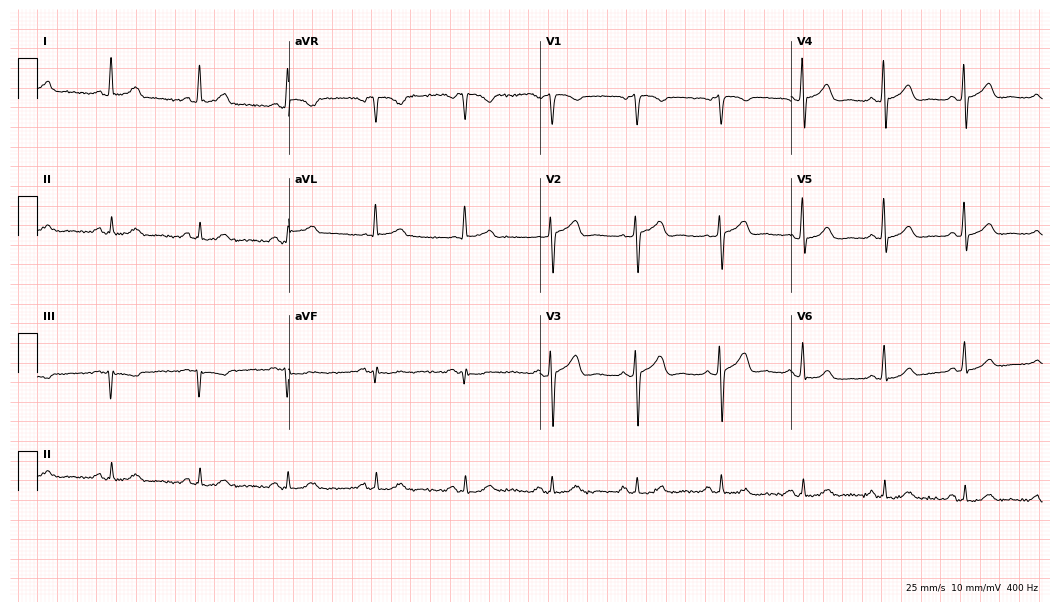
Resting 12-lead electrocardiogram (10.2-second recording at 400 Hz). Patient: a male, 64 years old. Read as a normal ECG.